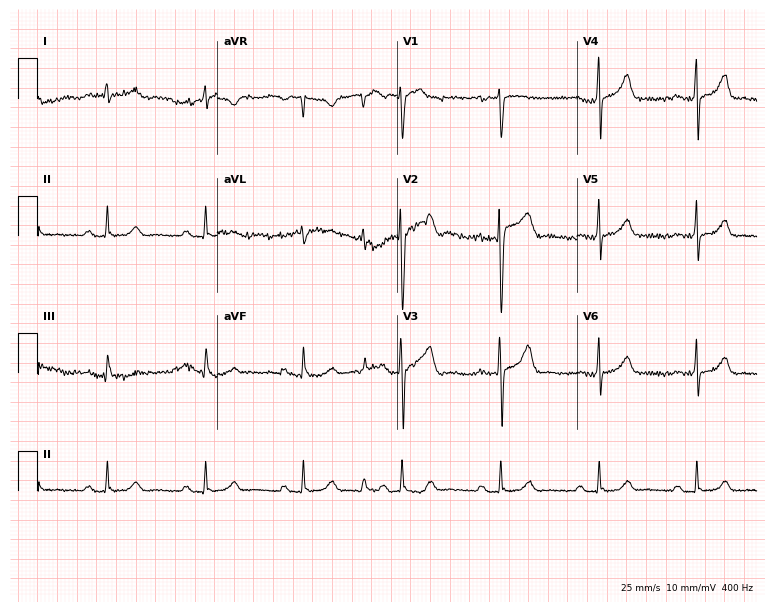
12-lead ECG from a 55-year-old male patient (7.3-second recording at 400 Hz). No first-degree AV block, right bundle branch block (RBBB), left bundle branch block (LBBB), sinus bradycardia, atrial fibrillation (AF) or sinus tachycardia recorded for this tracing. Findings outside these six are not listed.